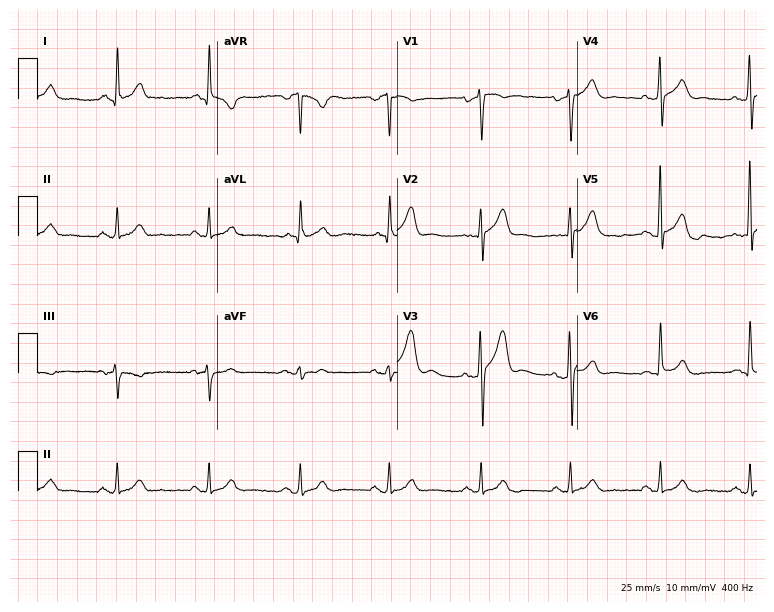
Electrocardiogram, a male patient, 60 years old. Of the six screened findings (first-degree AV block, right bundle branch block, left bundle branch block, sinus bradycardia, atrial fibrillation, sinus tachycardia), none is recorded. Other findings, if any, are not listed.